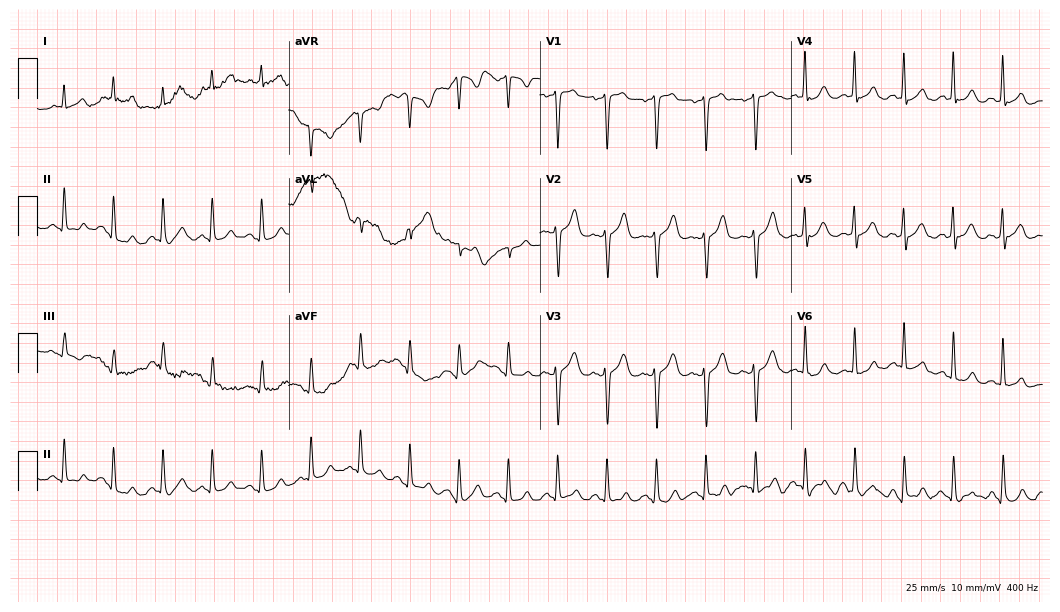
Resting 12-lead electrocardiogram (10.2-second recording at 400 Hz). Patient: a man, 31 years old. None of these six findings is recorded: first-degree AV block, right bundle branch block (RBBB), left bundle branch block (LBBB), sinus bradycardia, atrial fibrillation (AF), sinus tachycardia.